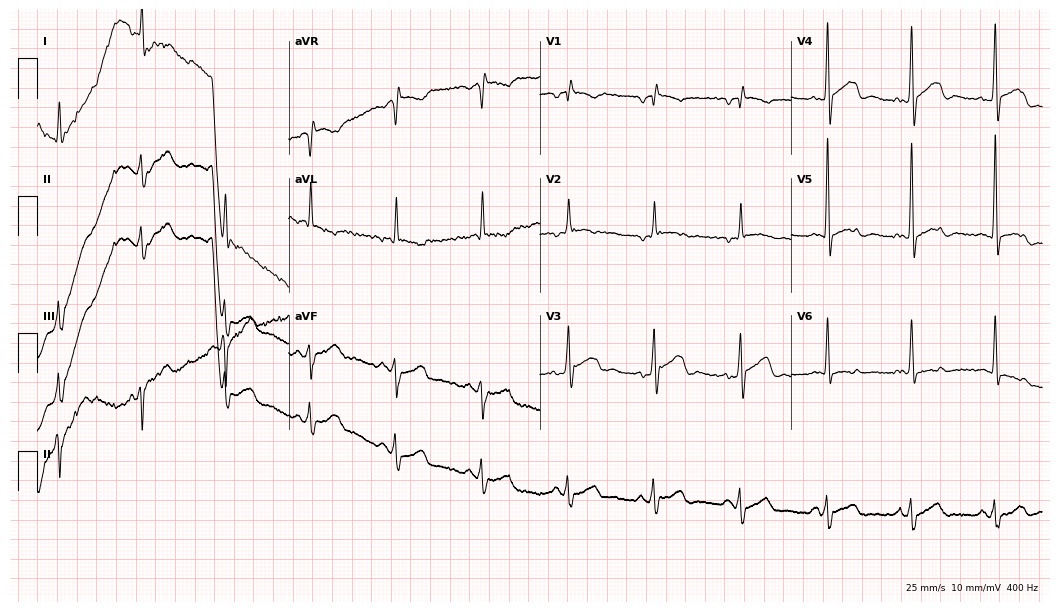
Standard 12-lead ECG recorded from a male patient, 60 years old (10.2-second recording at 400 Hz). None of these six findings is recorded: first-degree AV block, right bundle branch block, left bundle branch block, sinus bradycardia, atrial fibrillation, sinus tachycardia.